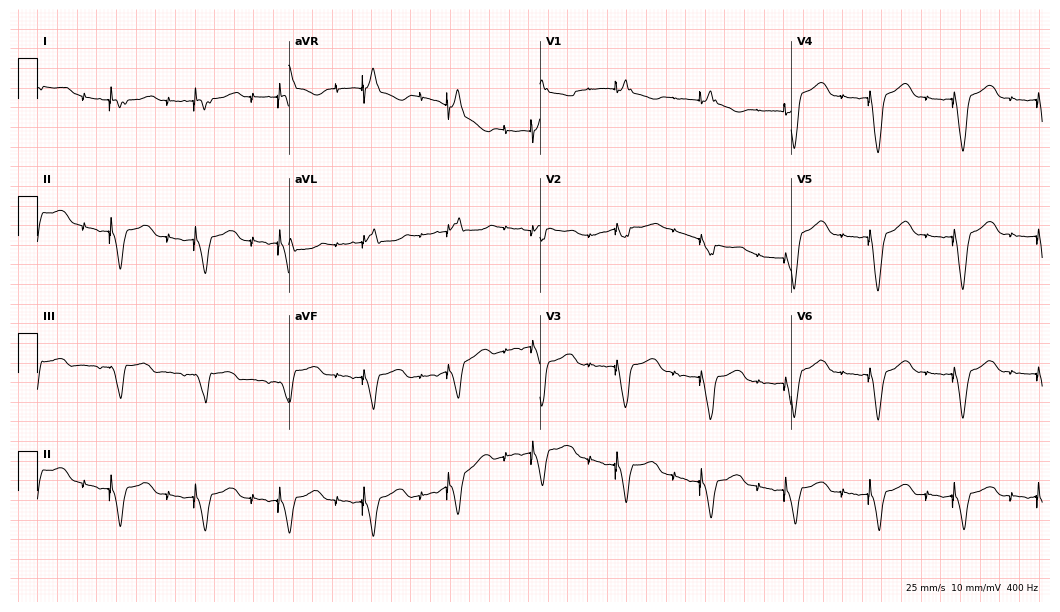
Standard 12-lead ECG recorded from an 80-year-old man (10.2-second recording at 400 Hz). None of these six findings is recorded: first-degree AV block, right bundle branch block, left bundle branch block, sinus bradycardia, atrial fibrillation, sinus tachycardia. Other findings, if any, are not listed.